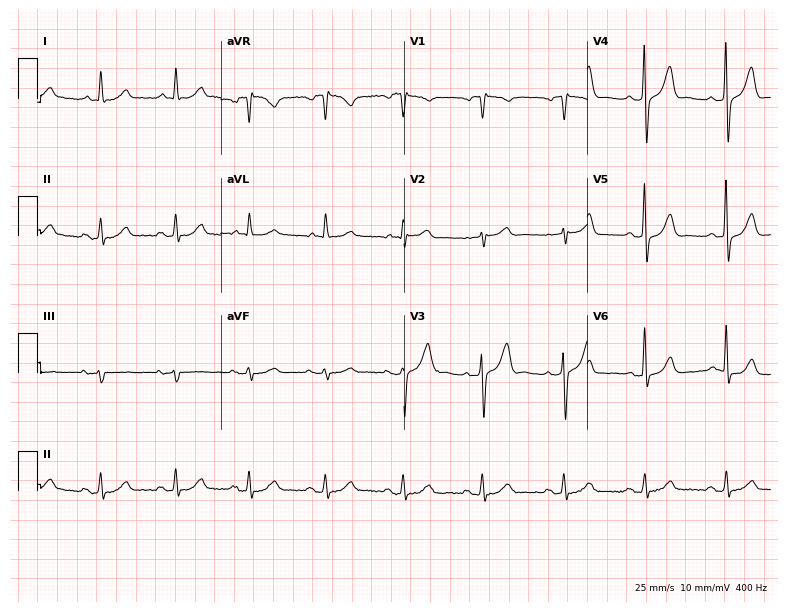
12-lead ECG from a man, 69 years old (7.5-second recording at 400 Hz). Recorded interpretation: within normal limits.